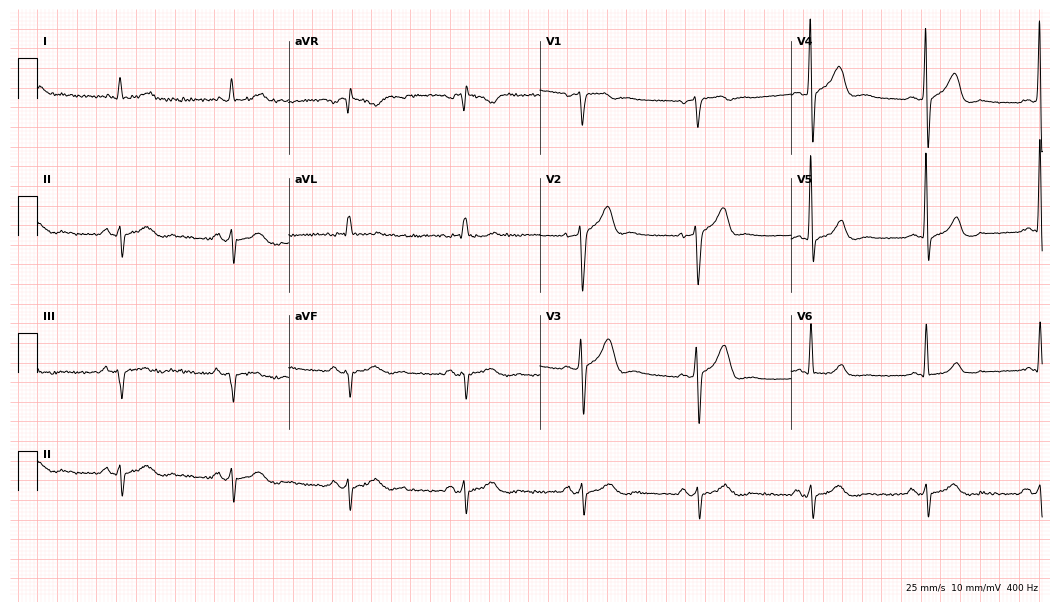
Resting 12-lead electrocardiogram (10.2-second recording at 400 Hz). Patient: a male, 70 years old. None of these six findings is recorded: first-degree AV block, right bundle branch block (RBBB), left bundle branch block (LBBB), sinus bradycardia, atrial fibrillation (AF), sinus tachycardia. Other findings, if any, are not listed.